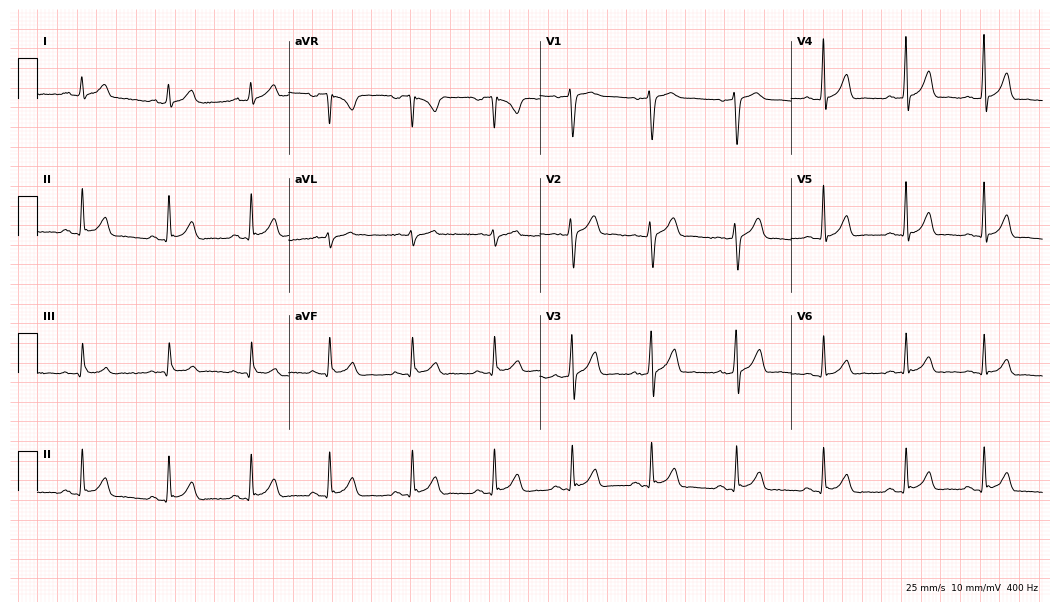
Resting 12-lead electrocardiogram. Patient: a male, 23 years old. None of these six findings is recorded: first-degree AV block, right bundle branch block, left bundle branch block, sinus bradycardia, atrial fibrillation, sinus tachycardia.